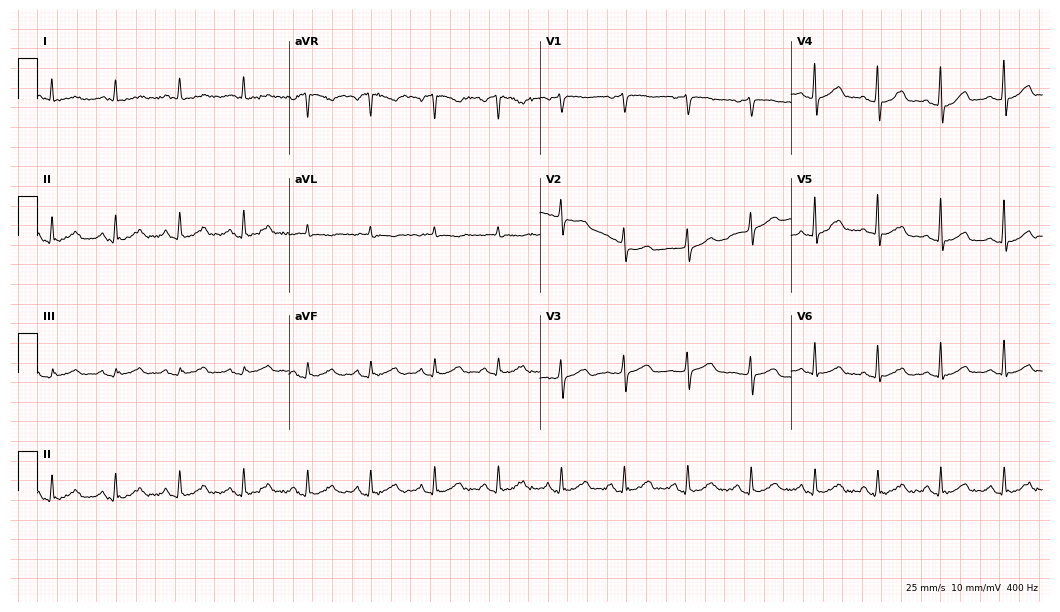
ECG (10.2-second recording at 400 Hz) — a 69-year-old woman. Screened for six findings — first-degree AV block, right bundle branch block (RBBB), left bundle branch block (LBBB), sinus bradycardia, atrial fibrillation (AF), sinus tachycardia — none is recorded. Only these six findings were labelled.